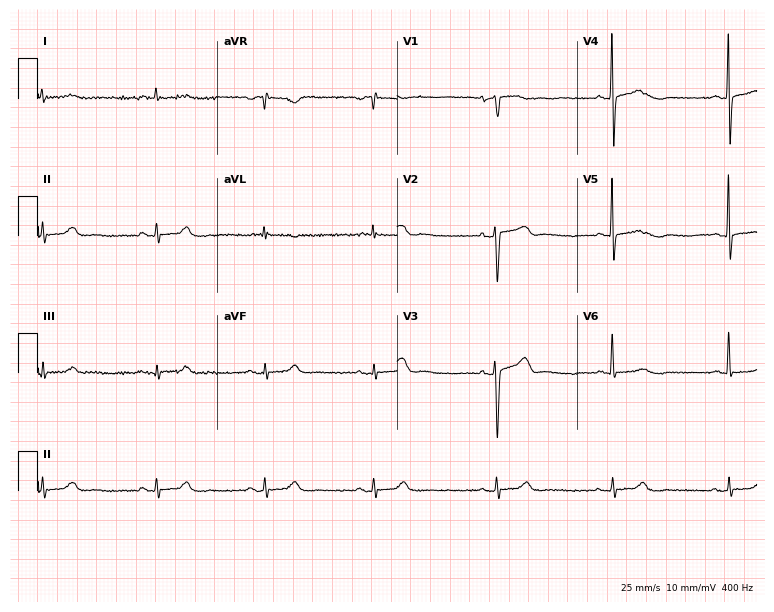
Resting 12-lead electrocardiogram (7.3-second recording at 400 Hz). Patient: a female, 72 years old. None of these six findings is recorded: first-degree AV block, right bundle branch block, left bundle branch block, sinus bradycardia, atrial fibrillation, sinus tachycardia.